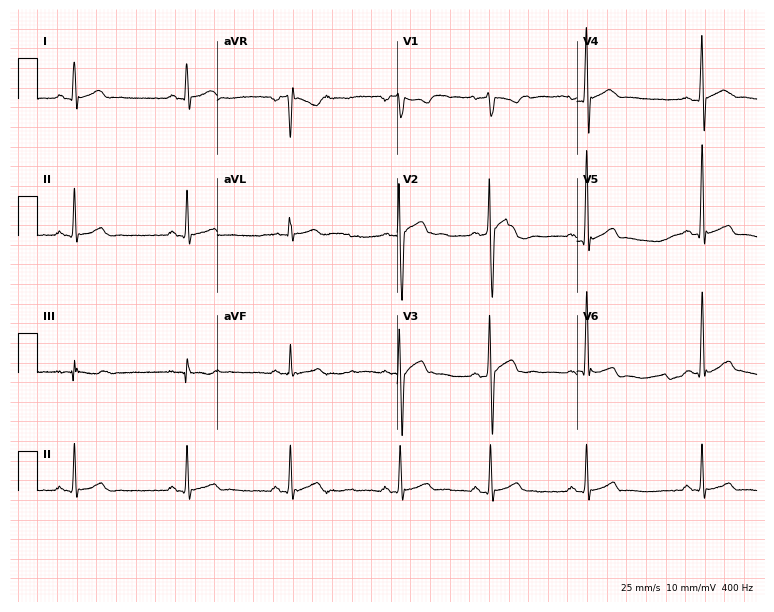
Resting 12-lead electrocardiogram. Patient: a man, 22 years old. None of these six findings is recorded: first-degree AV block, right bundle branch block (RBBB), left bundle branch block (LBBB), sinus bradycardia, atrial fibrillation (AF), sinus tachycardia. Only these six findings were labelled.